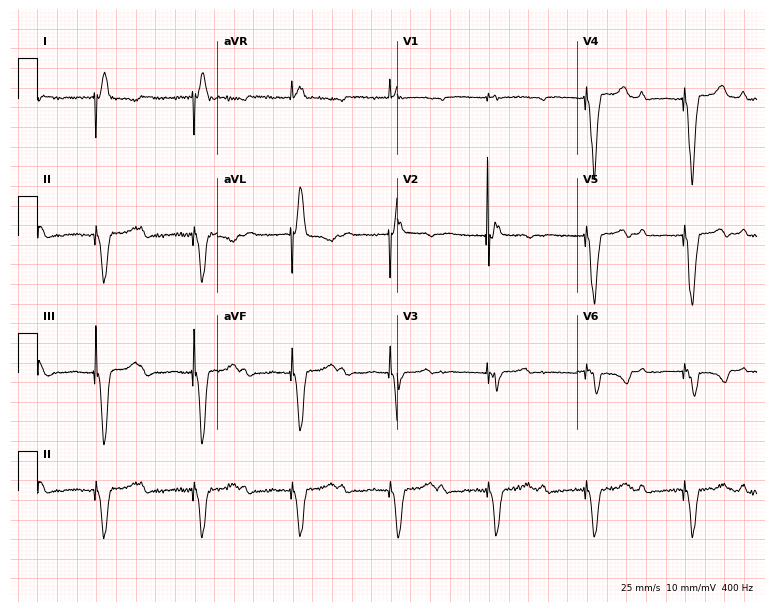
ECG — a female, 75 years old. Screened for six findings — first-degree AV block, right bundle branch block, left bundle branch block, sinus bradycardia, atrial fibrillation, sinus tachycardia — none is recorded. Findings outside these six are not listed.